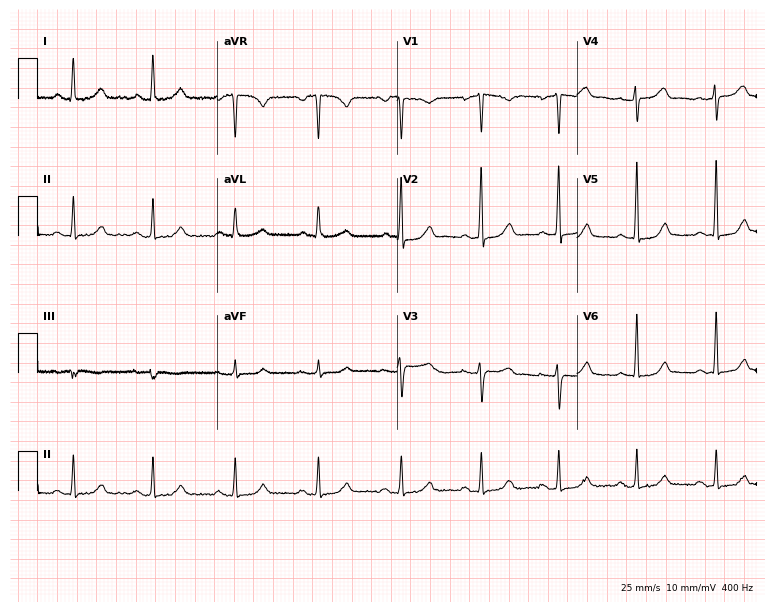
12-lead ECG from a 58-year-old female. Recorded interpretation: within normal limits.